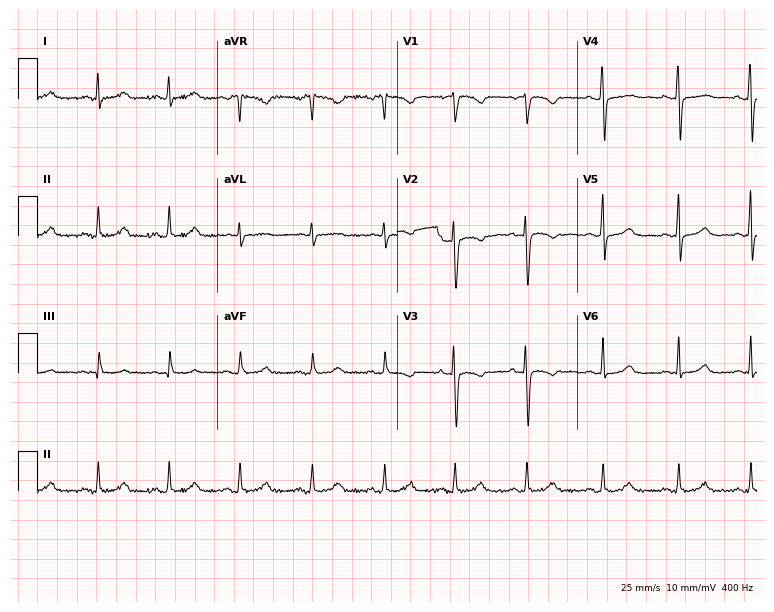
12-lead ECG from a woman, 27 years old. No first-degree AV block, right bundle branch block (RBBB), left bundle branch block (LBBB), sinus bradycardia, atrial fibrillation (AF) or sinus tachycardia recorded for this tracing.